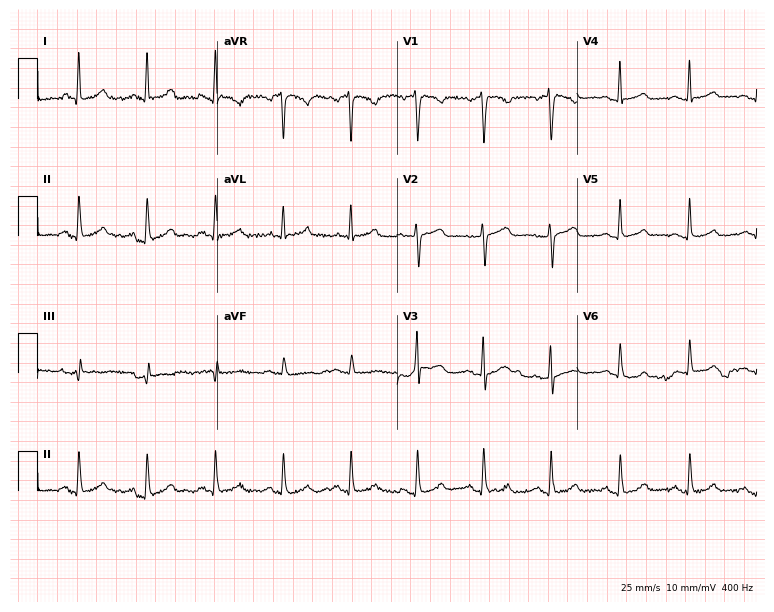
Electrocardiogram, a female, 49 years old. Overall reading on record: normal ECG.